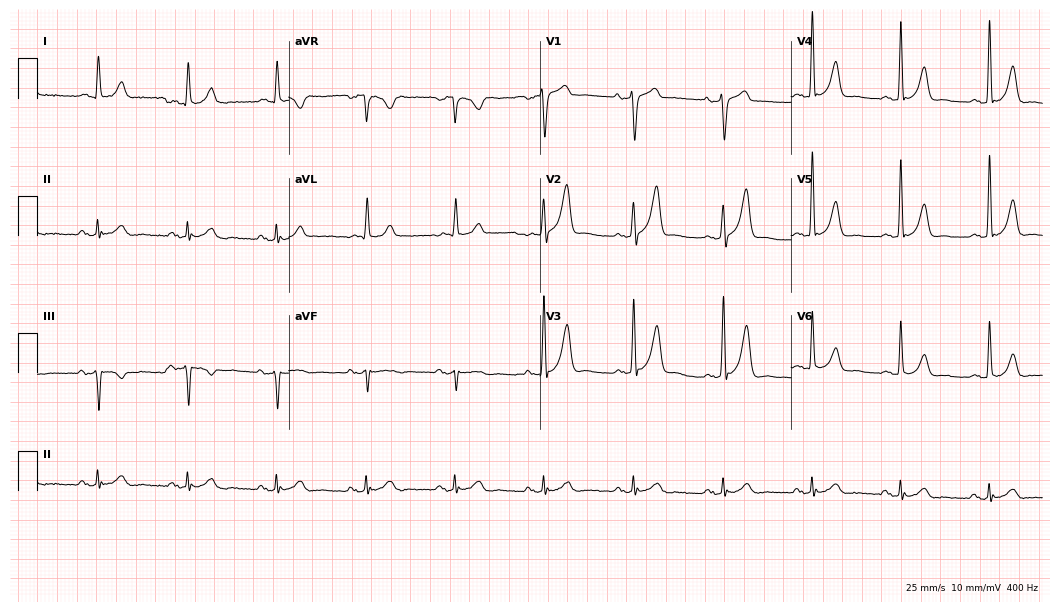
ECG — a male patient, 76 years old. Screened for six findings — first-degree AV block, right bundle branch block, left bundle branch block, sinus bradycardia, atrial fibrillation, sinus tachycardia — none is recorded.